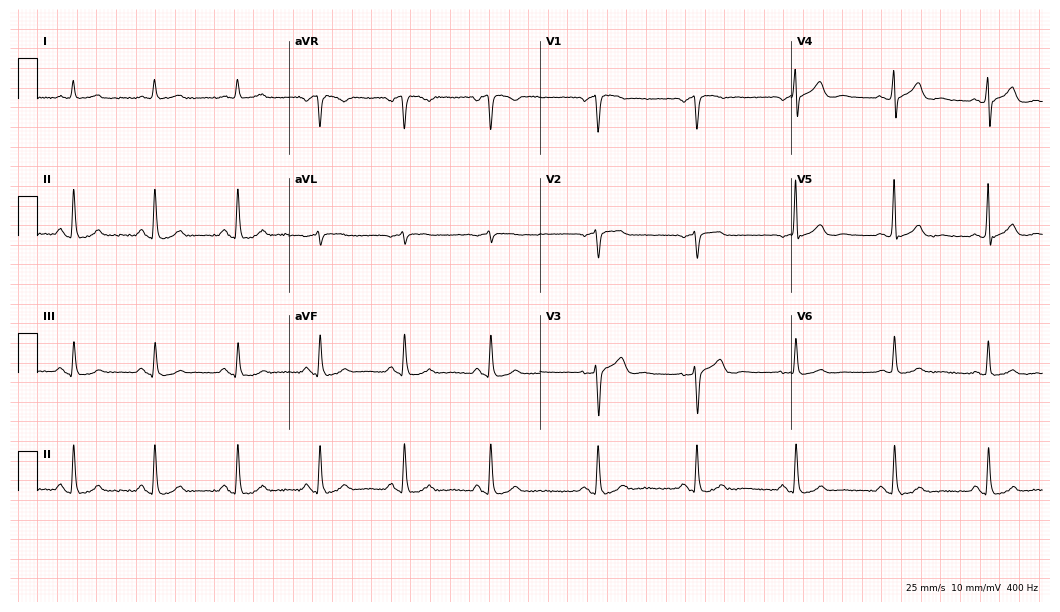
Resting 12-lead electrocardiogram. Patient: a male, 68 years old. Read as a normal ECG.